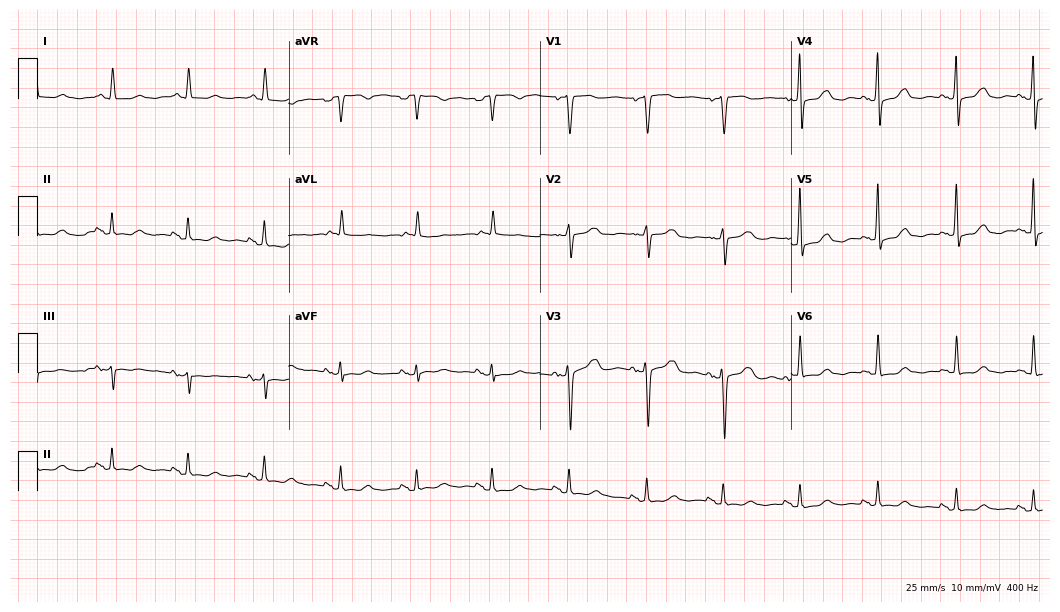
ECG — a female, 80 years old. Labelled as a normal ECG.